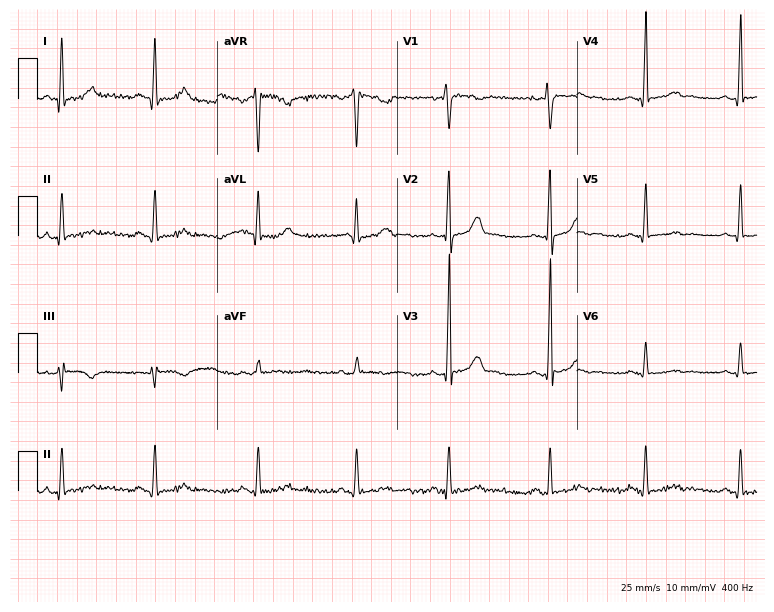
12-lead ECG (7.3-second recording at 400 Hz) from a 39-year-old male. Screened for six findings — first-degree AV block, right bundle branch block, left bundle branch block, sinus bradycardia, atrial fibrillation, sinus tachycardia — none is recorded. Findings outside these six are not listed.